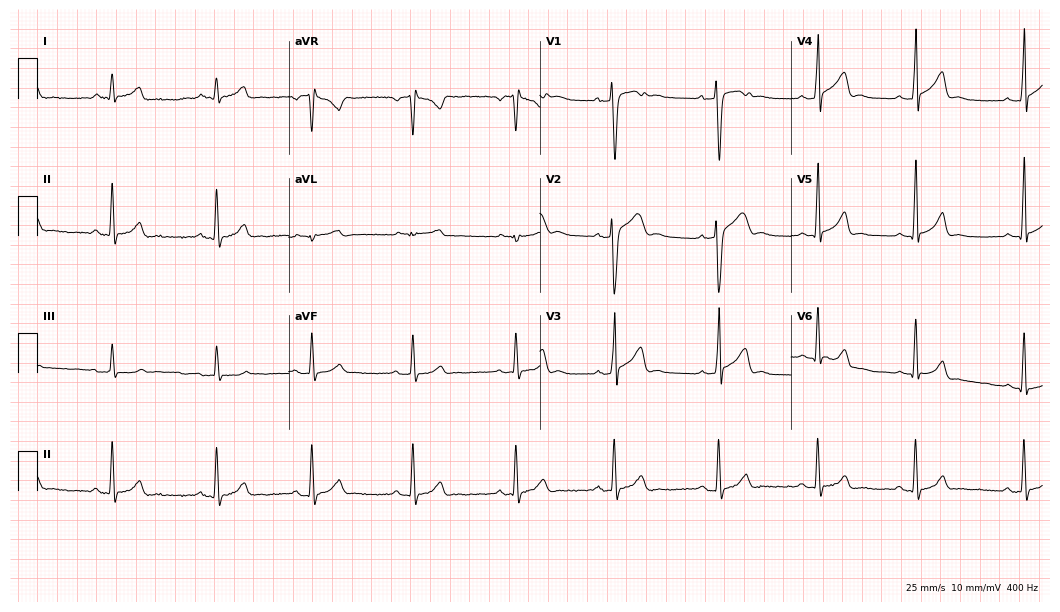
Electrocardiogram (10.2-second recording at 400 Hz), a 22-year-old male. Overall reading on record: normal ECG.